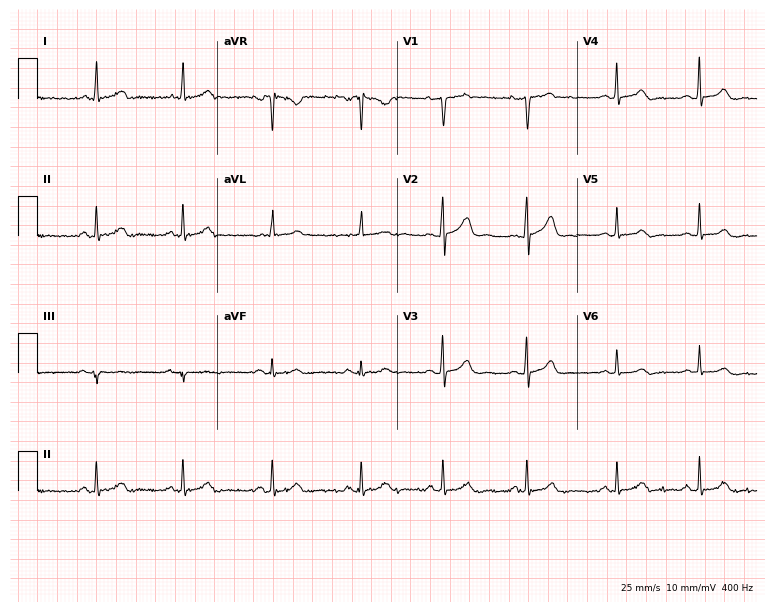
Standard 12-lead ECG recorded from a female patient, 34 years old (7.3-second recording at 400 Hz). Read as a normal ECG.